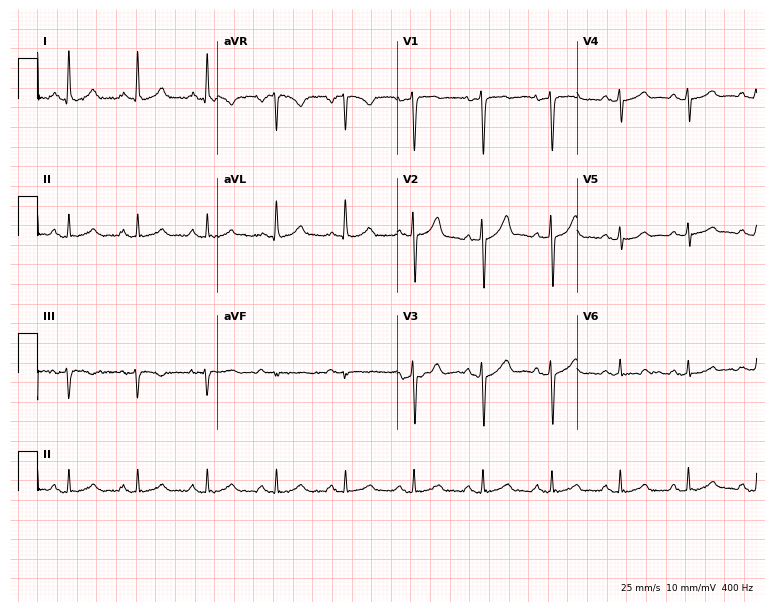
Standard 12-lead ECG recorded from a male patient, 54 years old. Read as a normal ECG.